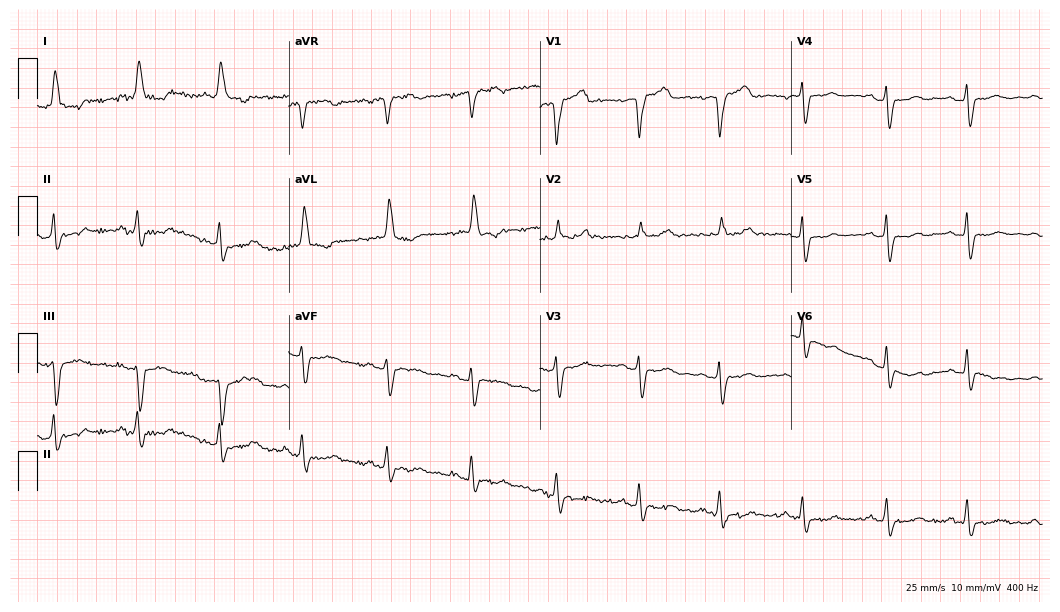
12-lead ECG (10.2-second recording at 400 Hz) from a 72-year-old female patient. Findings include left bundle branch block.